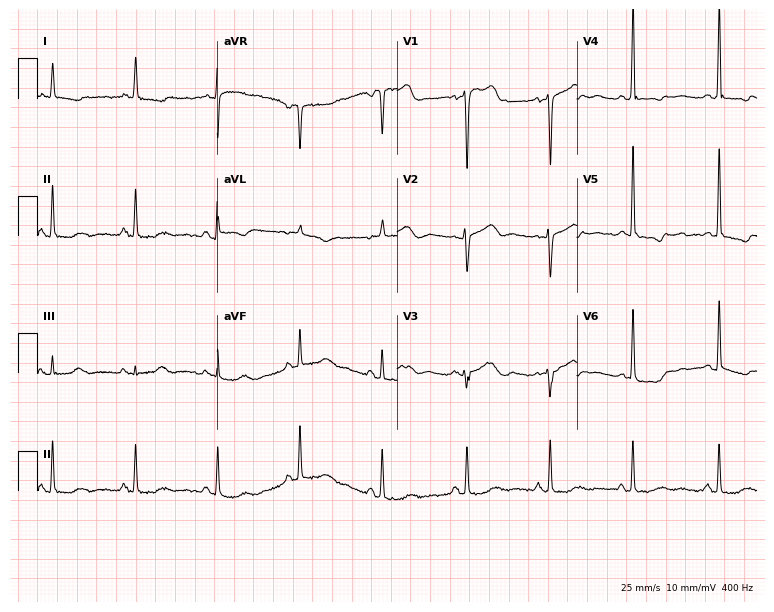
12-lead ECG from a woman, 73 years old. Screened for six findings — first-degree AV block, right bundle branch block, left bundle branch block, sinus bradycardia, atrial fibrillation, sinus tachycardia — none is recorded. Findings outside these six are not listed.